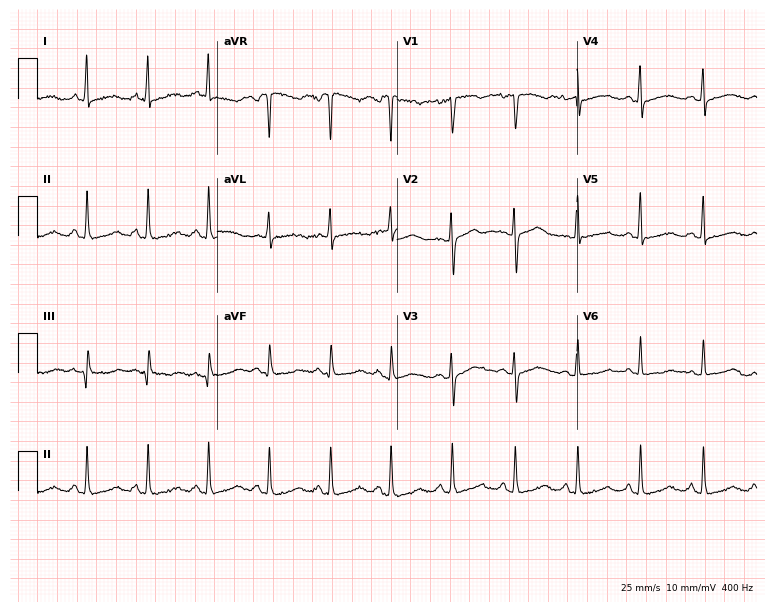
Electrocardiogram, a 31-year-old woman. Overall reading on record: normal ECG.